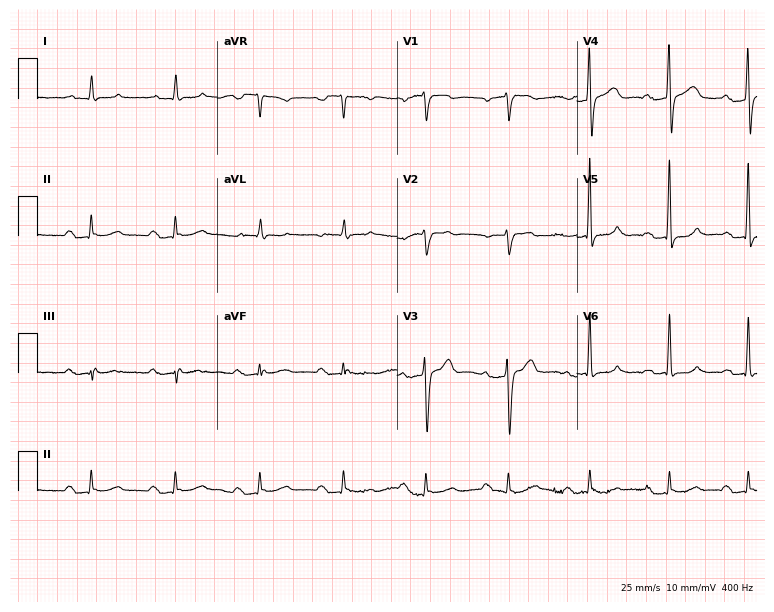
Standard 12-lead ECG recorded from a 76-year-old man (7.3-second recording at 400 Hz). The tracing shows first-degree AV block.